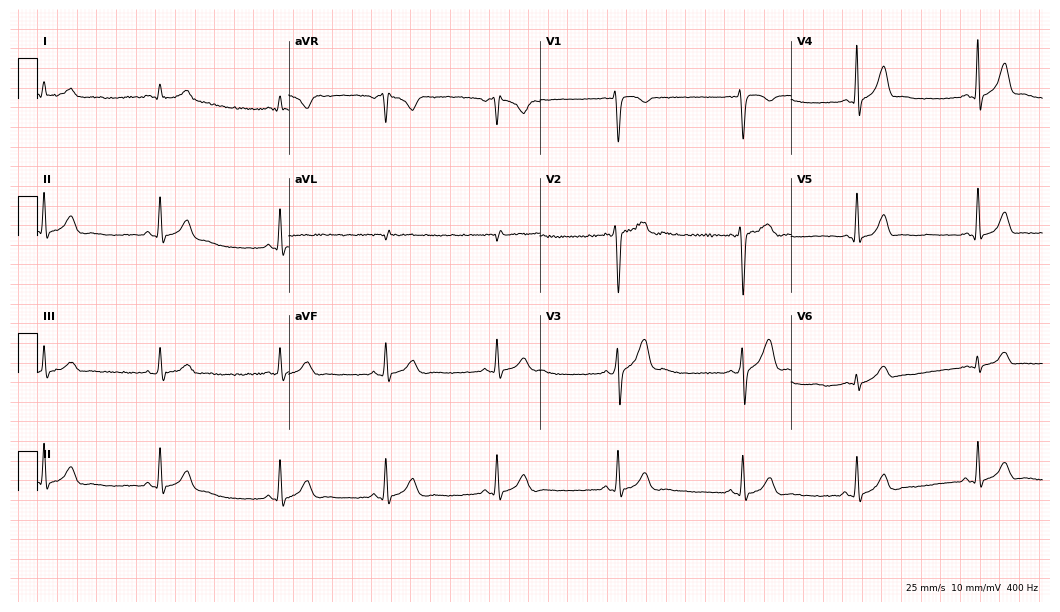
12-lead ECG from a male, 21 years old. No first-degree AV block, right bundle branch block (RBBB), left bundle branch block (LBBB), sinus bradycardia, atrial fibrillation (AF) or sinus tachycardia recorded for this tracing. Only these six findings were labelled.